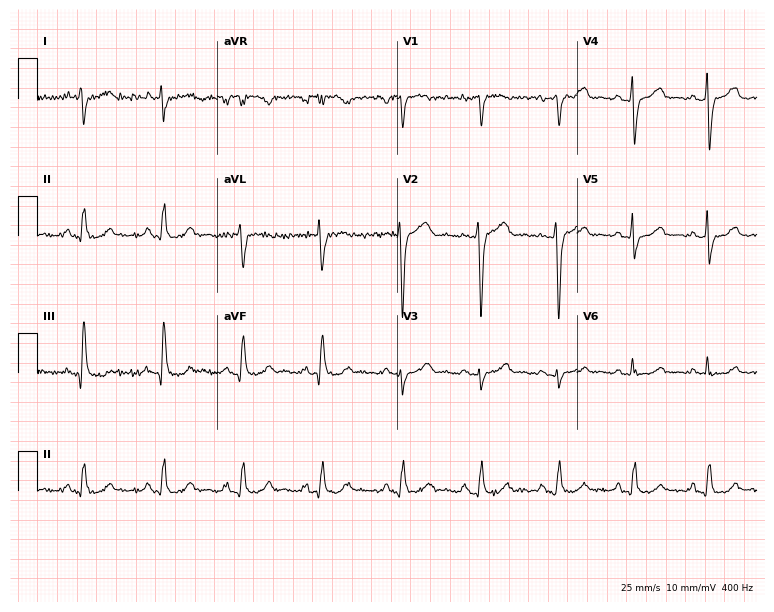
12-lead ECG from a female patient, 70 years old. Screened for six findings — first-degree AV block, right bundle branch block, left bundle branch block, sinus bradycardia, atrial fibrillation, sinus tachycardia — none is recorded.